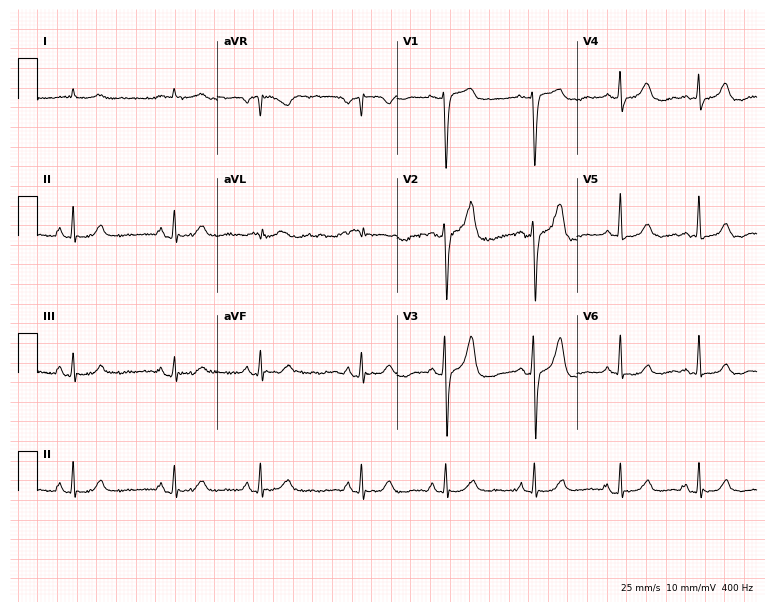
12-lead ECG from a man, 84 years old (7.3-second recording at 400 Hz). No first-degree AV block, right bundle branch block, left bundle branch block, sinus bradycardia, atrial fibrillation or sinus tachycardia recorded for this tracing.